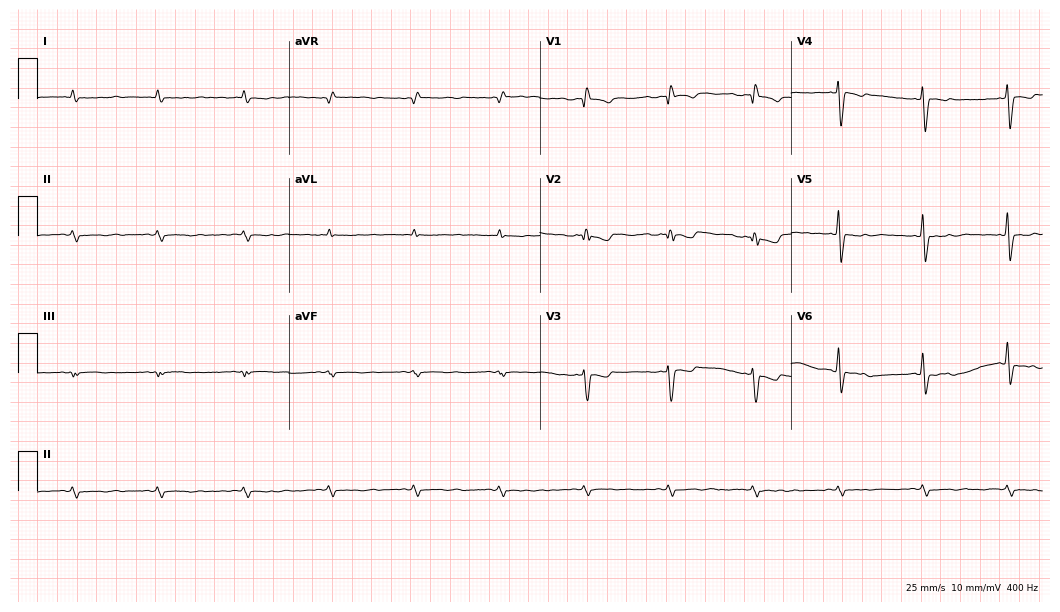
ECG (10.2-second recording at 400 Hz) — a man, 67 years old. Screened for six findings — first-degree AV block, right bundle branch block, left bundle branch block, sinus bradycardia, atrial fibrillation, sinus tachycardia — none is recorded. Only these six findings were labelled.